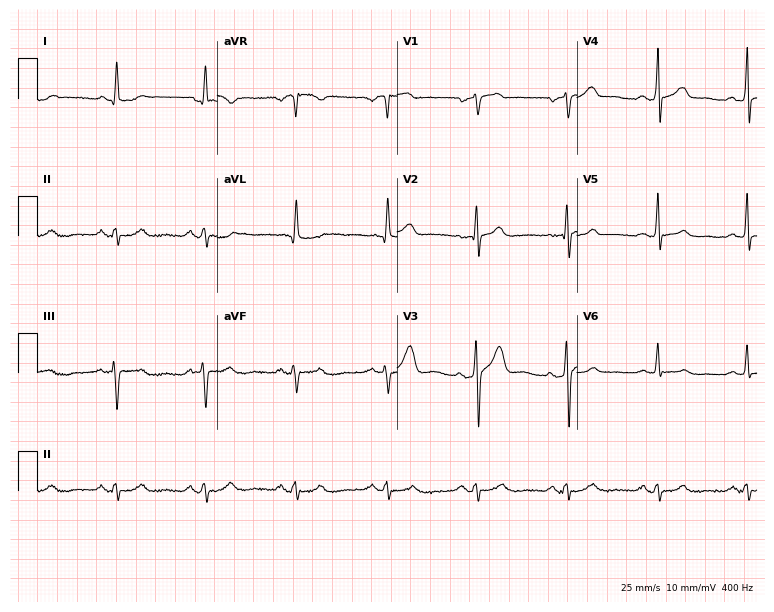
12-lead ECG from a male patient, 58 years old. No first-degree AV block, right bundle branch block, left bundle branch block, sinus bradycardia, atrial fibrillation or sinus tachycardia recorded for this tracing. Only these six findings were labelled.